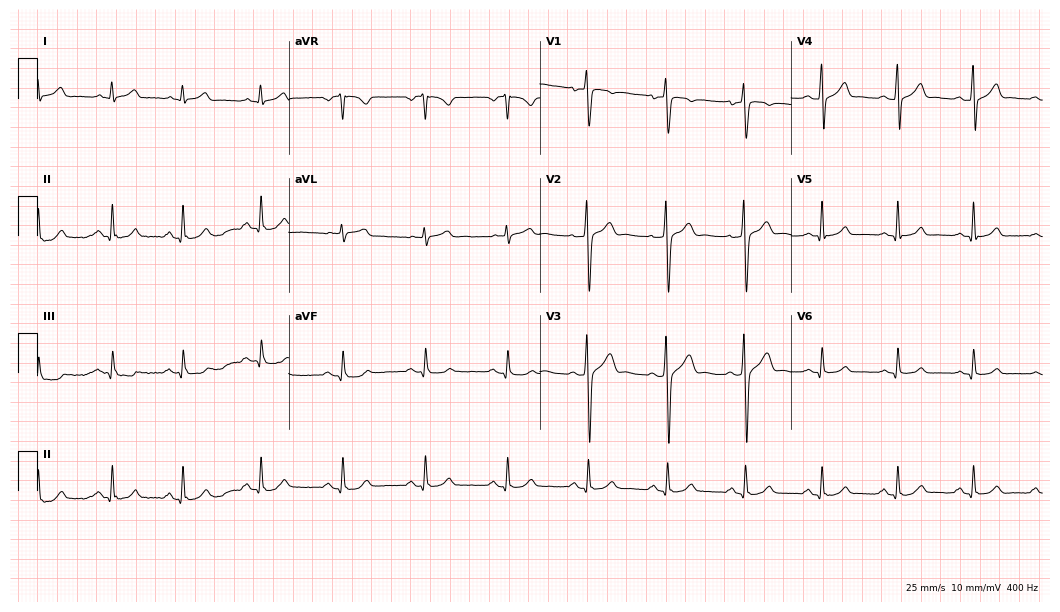
Electrocardiogram (10.2-second recording at 400 Hz), a male, 33 years old. Overall reading on record: normal ECG.